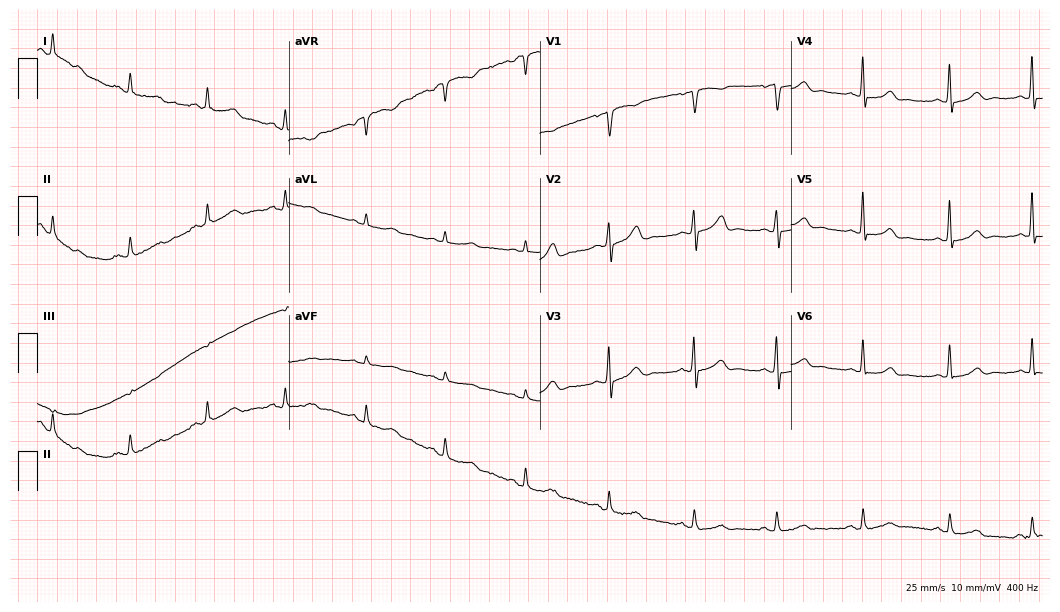
Standard 12-lead ECG recorded from a 53-year-old woman. Read as a normal ECG.